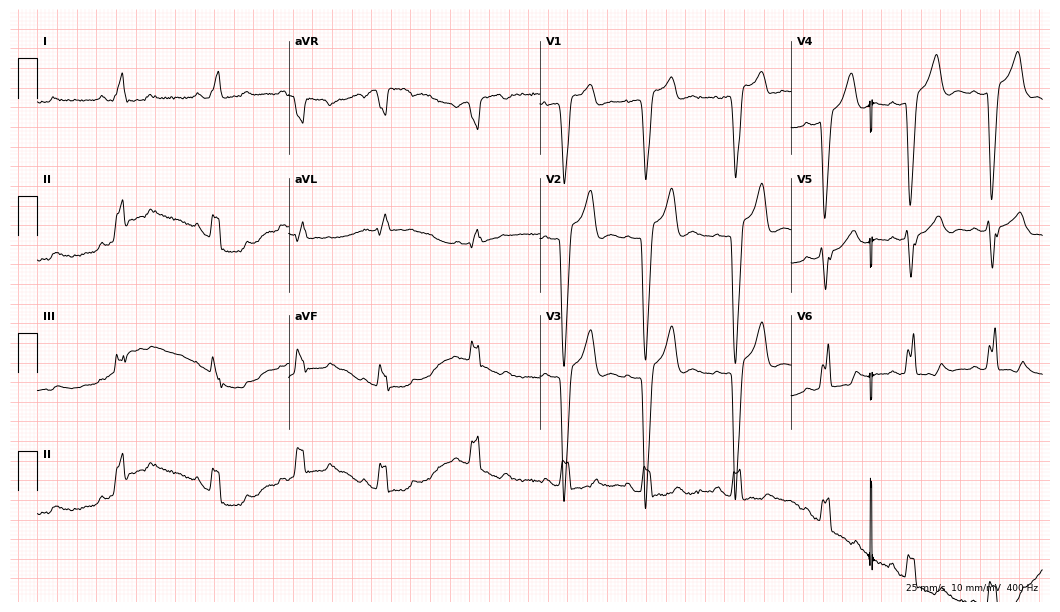
Resting 12-lead electrocardiogram. Patient: a female, 25 years old. The tracing shows left bundle branch block.